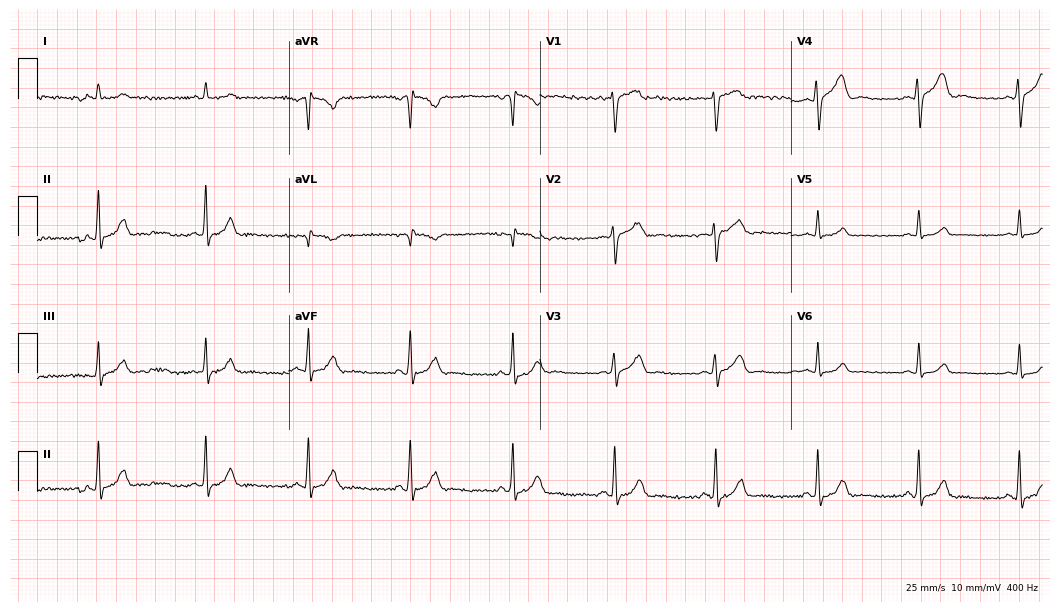
Resting 12-lead electrocardiogram. Patient: a 23-year-old female. None of these six findings is recorded: first-degree AV block, right bundle branch block, left bundle branch block, sinus bradycardia, atrial fibrillation, sinus tachycardia. Other findings, if any, are not listed.